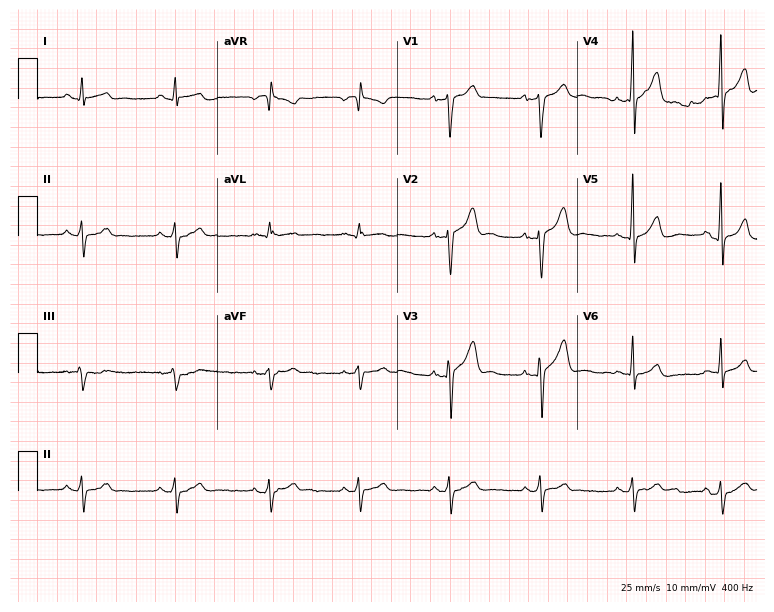
ECG — a man, 36 years old. Screened for six findings — first-degree AV block, right bundle branch block, left bundle branch block, sinus bradycardia, atrial fibrillation, sinus tachycardia — none is recorded.